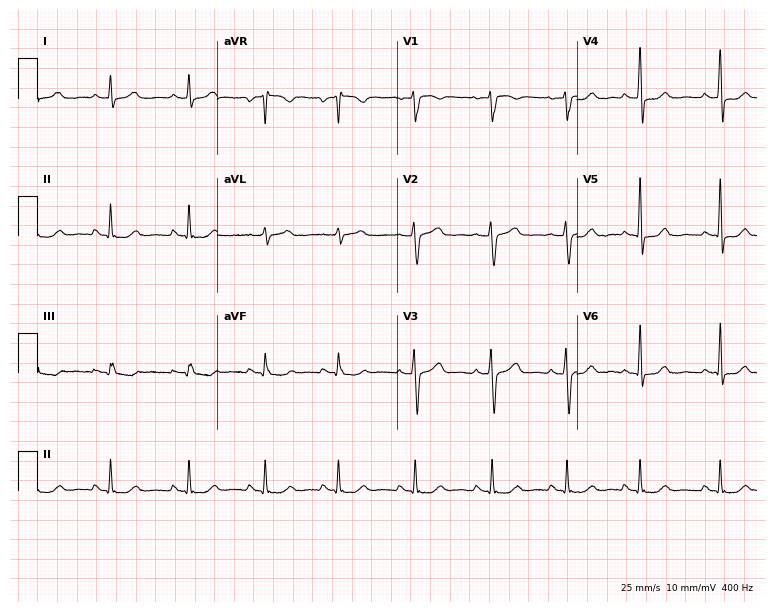
12-lead ECG from a female patient, 43 years old. No first-degree AV block, right bundle branch block, left bundle branch block, sinus bradycardia, atrial fibrillation or sinus tachycardia recorded for this tracing. Findings outside these six are not listed.